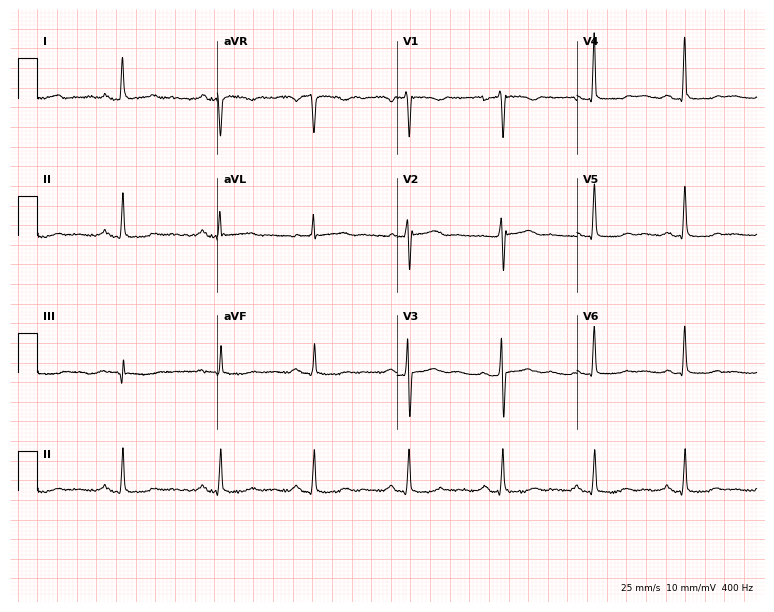
Standard 12-lead ECG recorded from a 52-year-old woman (7.3-second recording at 400 Hz). None of these six findings is recorded: first-degree AV block, right bundle branch block (RBBB), left bundle branch block (LBBB), sinus bradycardia, atrial fibrillation (AF), sinus tachycardia.